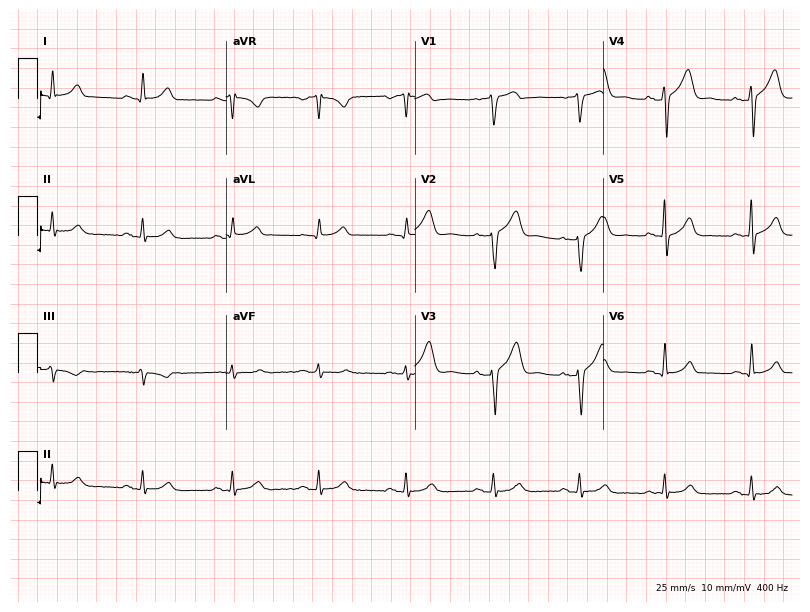
Standard 12-lead ECG recorded from a 52-year-old male patient. Read as a normal ECG.